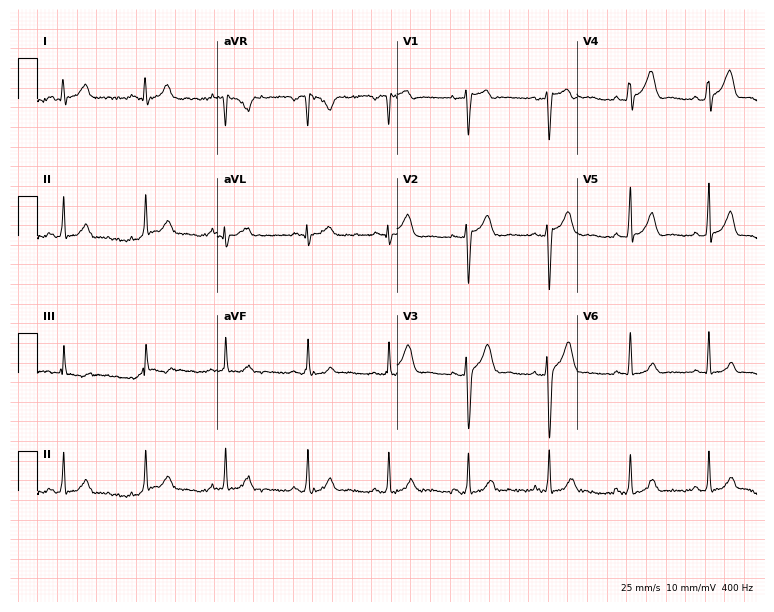
ECG — a 34-year-old male patient. Screened for six findings — first-degree AV block, right bundle branch block, left bundle branch block, sinus bradycardia, atrial fibrillation, sinus tachycardia — none is recorded. Only these six findings were labelled.